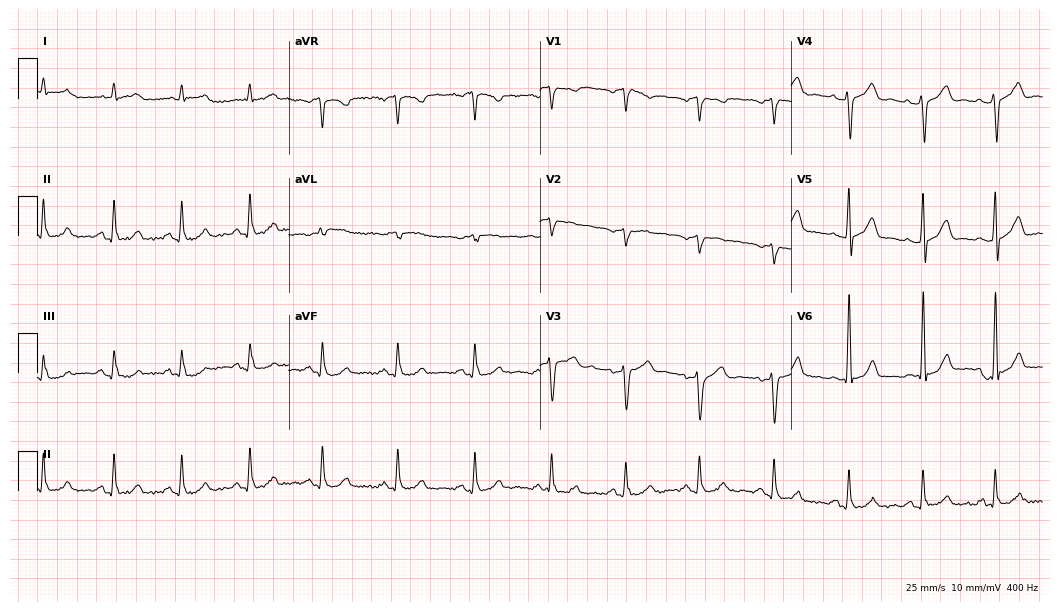
Resting 12-lead electrocardiogram. Patient: a 49-year-old man. None of these six findings is recorded: first-degree AV block, right bundle branch block (RBBB), left bundle branch block (LBBB), sinus bradycardia, atrial fibrillation (AF), sinus tachycardia. Other findings, if any, are not listed.